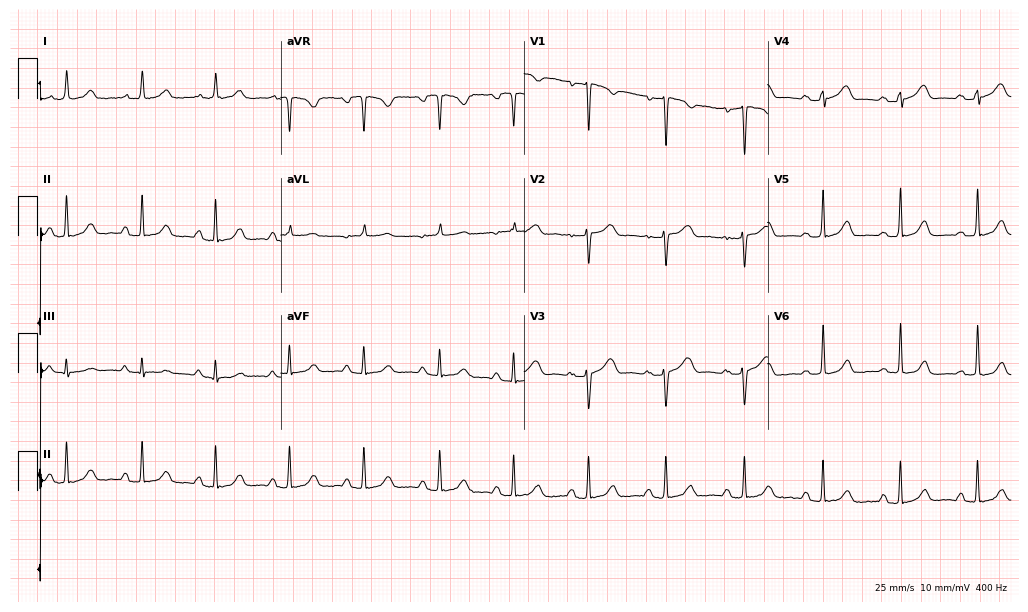
12-lead ECG (9.9-second recording at 400 Hz) from a 43-year-old female. Screened for six findings — first-degree AV block, right bundle branch block, left bundle branch block, sinus bradycardia, atrial fibrillation, sinus tachycardia — none is recorded. Other findings, if any, are not listed.